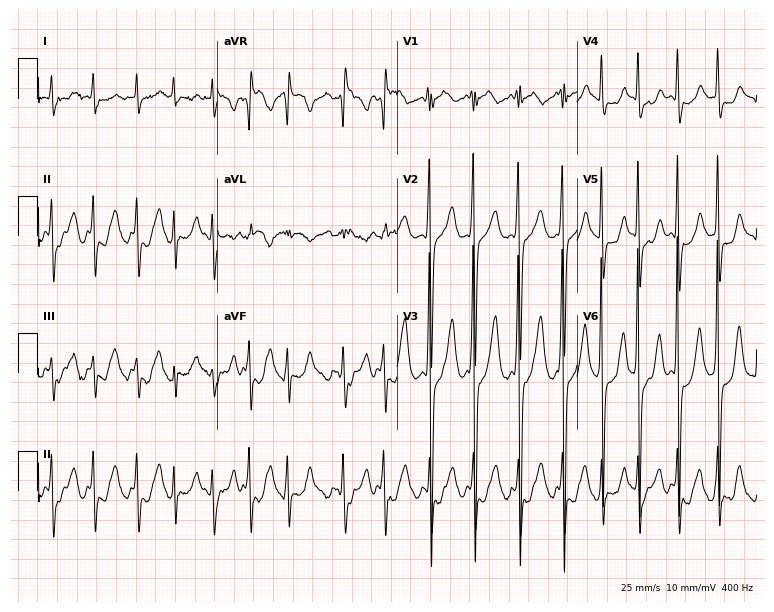
Electrocardiogram (7.3-second recording at 400 Hz), a 55-year-old woman. Interpretation includes atrial fibrillation.